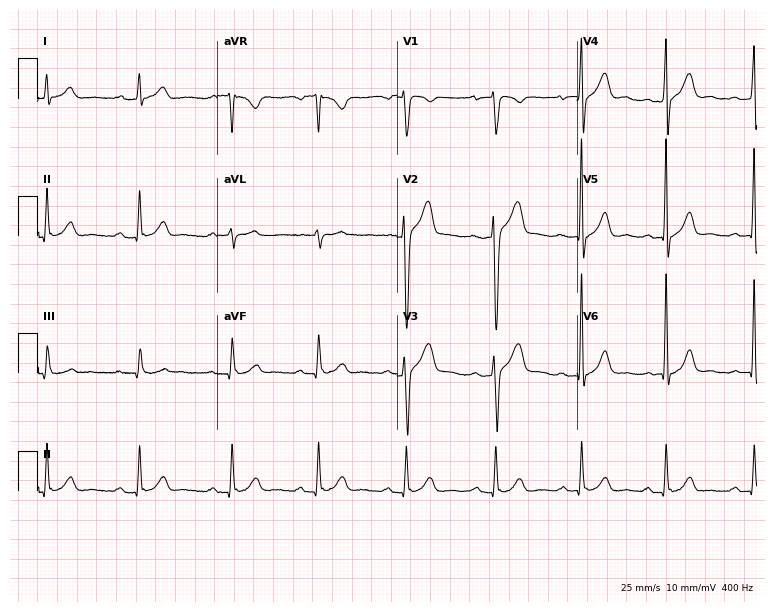
12-lead ECG from a 31-year-old male. Shows first-degree AV block.